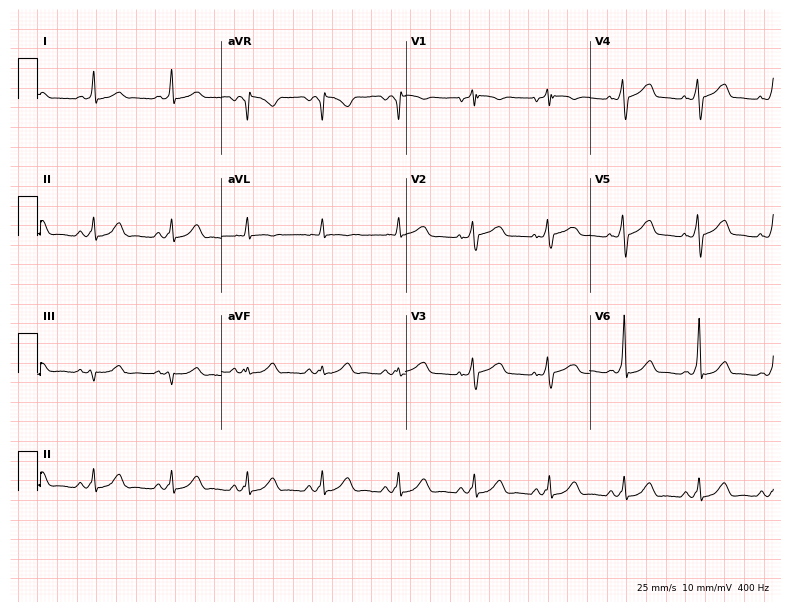
ECG (7.5-second recording at 400 Hz) — a male, 62 years old. Screened for six findings — first-degree AV block, right bundle branch block, left bundle branch block, sinus bradycardia, atrial fibrillation, sinus tachycardia — none is recorded. Other findings, if any, are not listed.